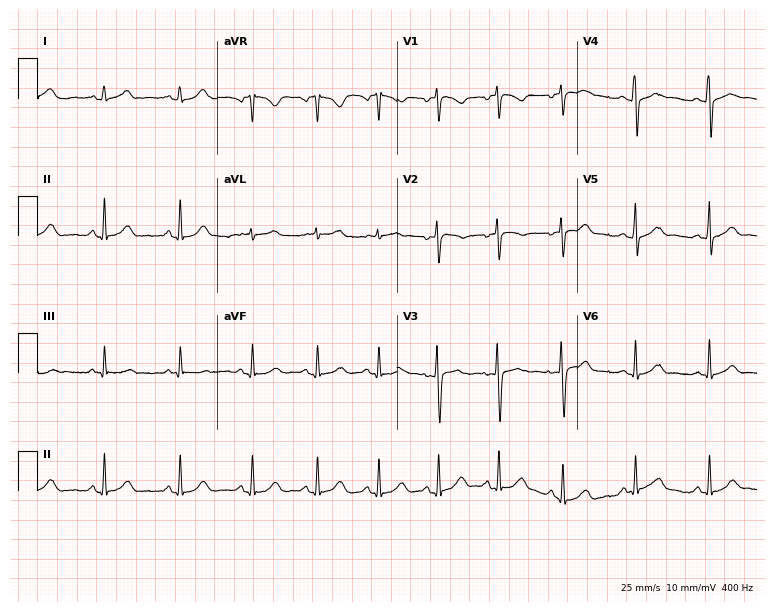
Electrocardiogram (7.3-second recording at 400 Hz), a 31-year-old female. Overall reading on record: normal ECG.